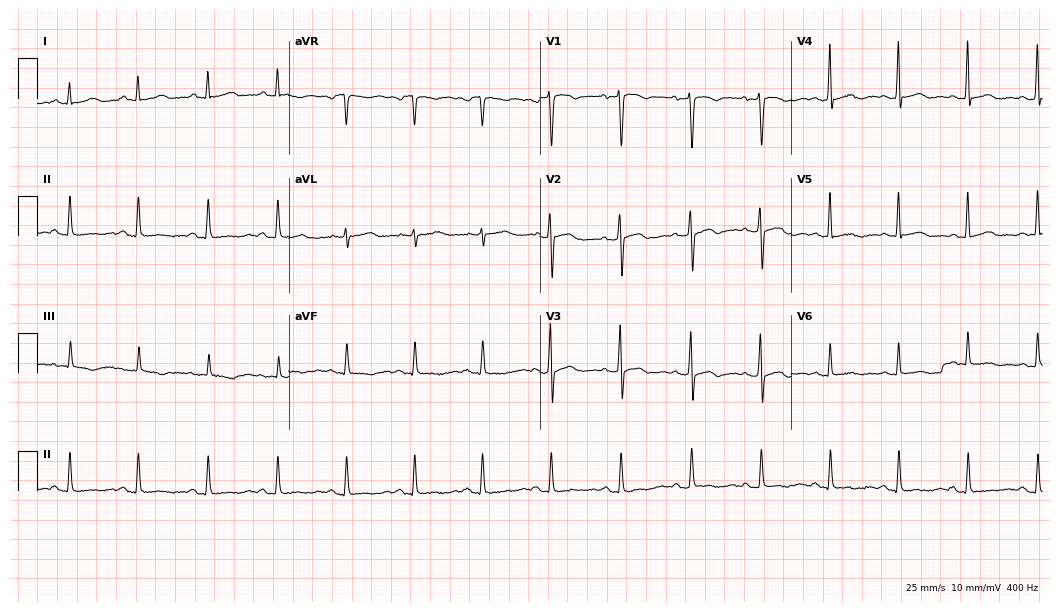
Resting 12-lead electrocardiogram (10.2-second recording at 400 Hz). Patient: a 38-year-old female. None of these six findings is recorded: first-degree AV block, right bundle branch block, left bundle branch block, sinus bradycardia, atrial fibrillation, sinus tachycardia.